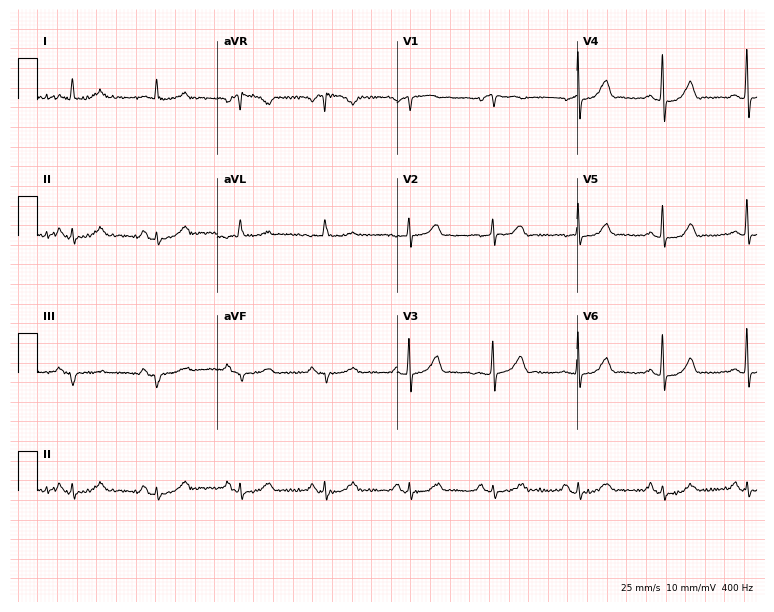
Resting 12-lead electrocardiogram (7.3-second recording at 400 Hz). Patient: a female, 69 years old. Read as a normal ECG.